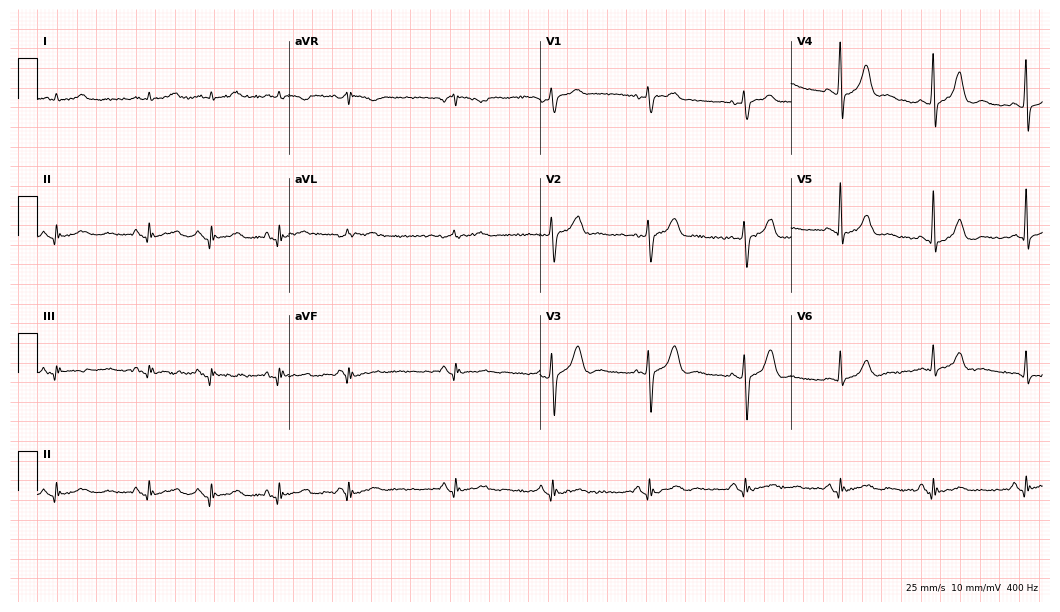
ECG (10.2-second recording at 400 Hz) — a man, 84 years old. Labelled as a normal ECG.